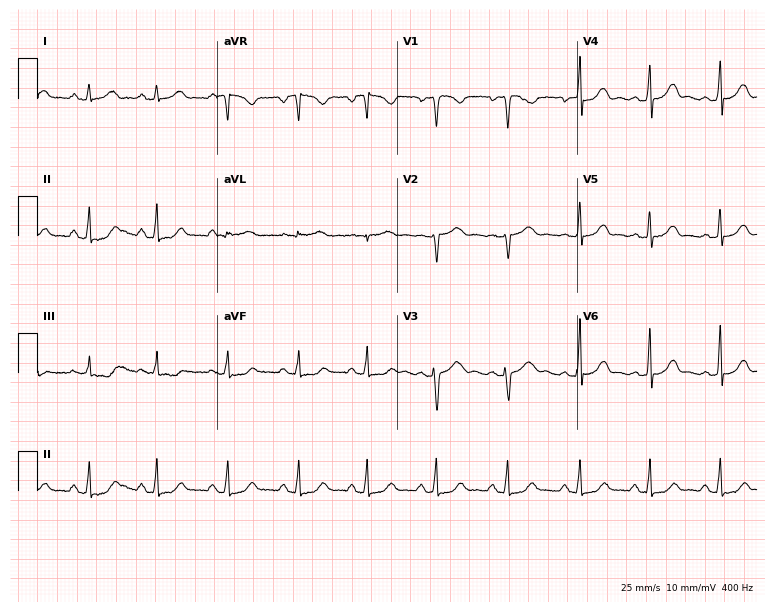
Electrocardiogram, a 24-year-old female patient. Of the six screened findings (first-degree AV block, right bundle branch block (RBBB), left bundle branch block (LBBB), sinus bradycardia, atrial fibrillation (AF), sinus tachycardia), none is recorded. Findings outside these six are not listed.